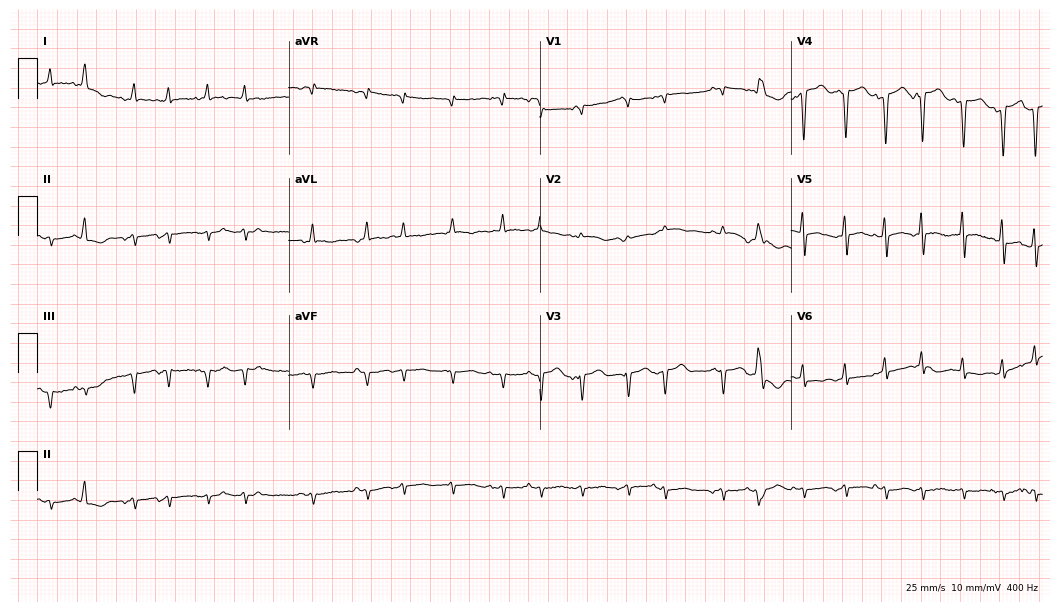
Electrocardiogram, a woman, 85 years old. Of the six screened findings (first-degree AV block, right bundle branch block, left bundle branch block, sinus bradycardia, atrial fibrillation, sinus tachycardia), none is recorded. Only these six findings were labelled.